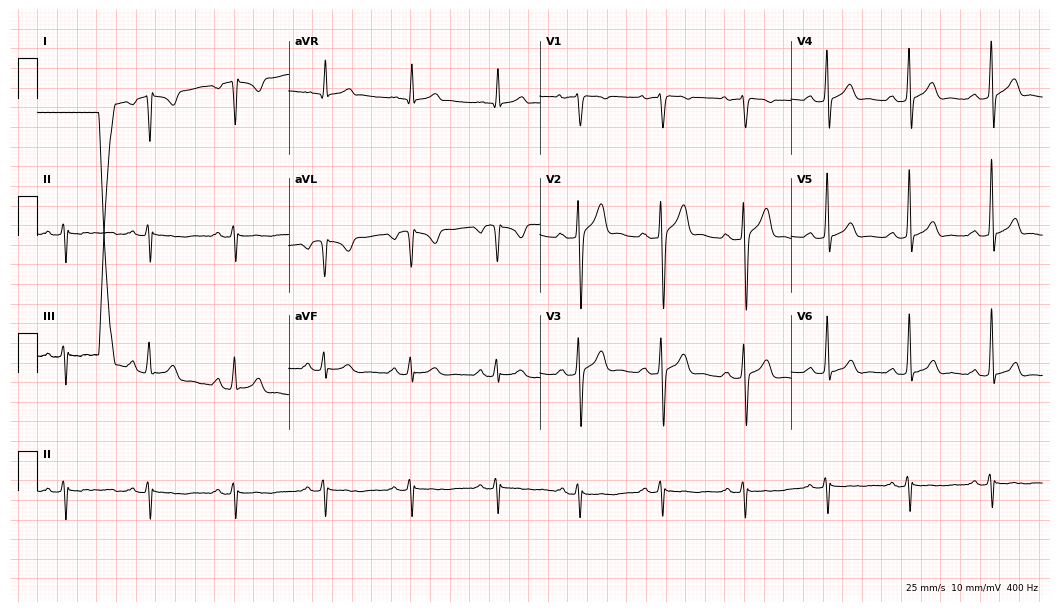
12-lead ECG from a 42-year-old man. Screened for six findings — first-degree AV block, right bundle branch block, left bundle branch block, sinus bradycardia, atrial fibrillation, sinus tachycardia — none is recorded.